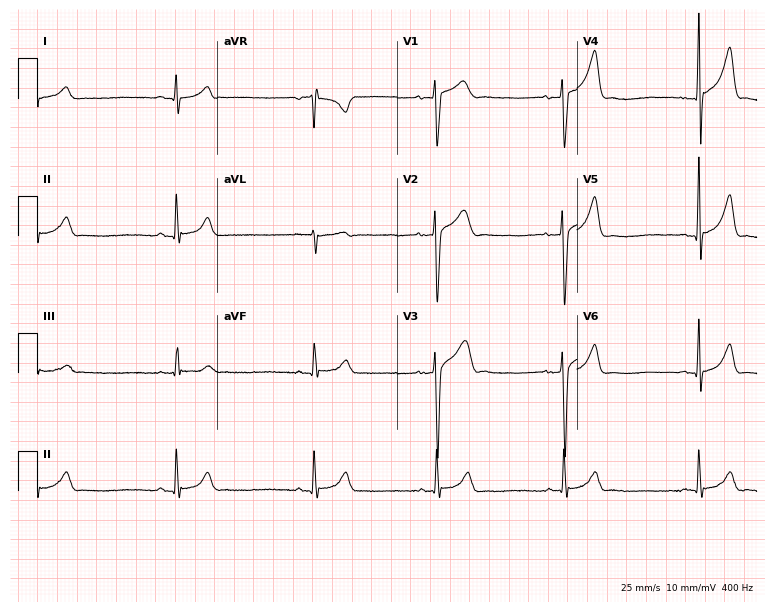
12-lead ECG from a man, 22 years old. Findings include sinus bradycardia (a sinus rate of 50 beats per minute or less).